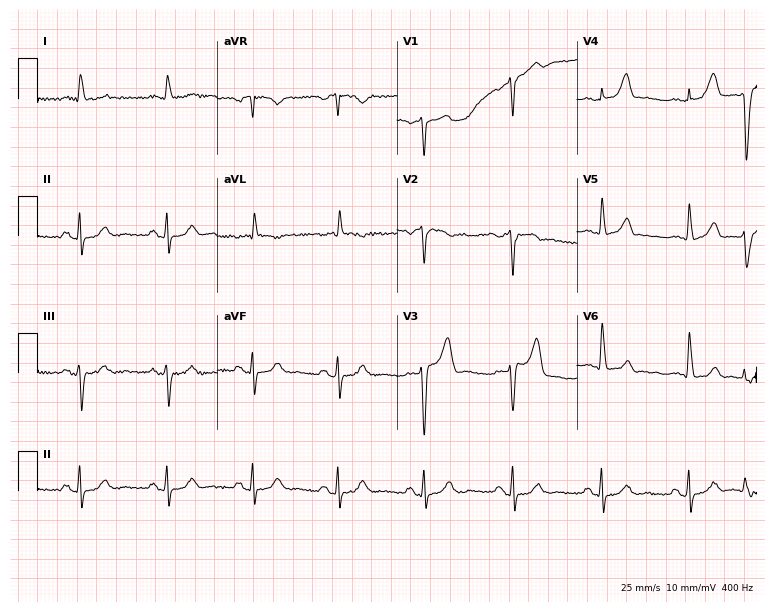
Standard 12-lead ECG recorded from a male, 67 years old. None of these six findings is recorded: first-degree AV block, right bundle branch block (RBBB), left bundle branch block (LBBB), sinus bradycardia, atrial fibrillation (AF), sinus tachycardia. Findings outside these six are not listed.